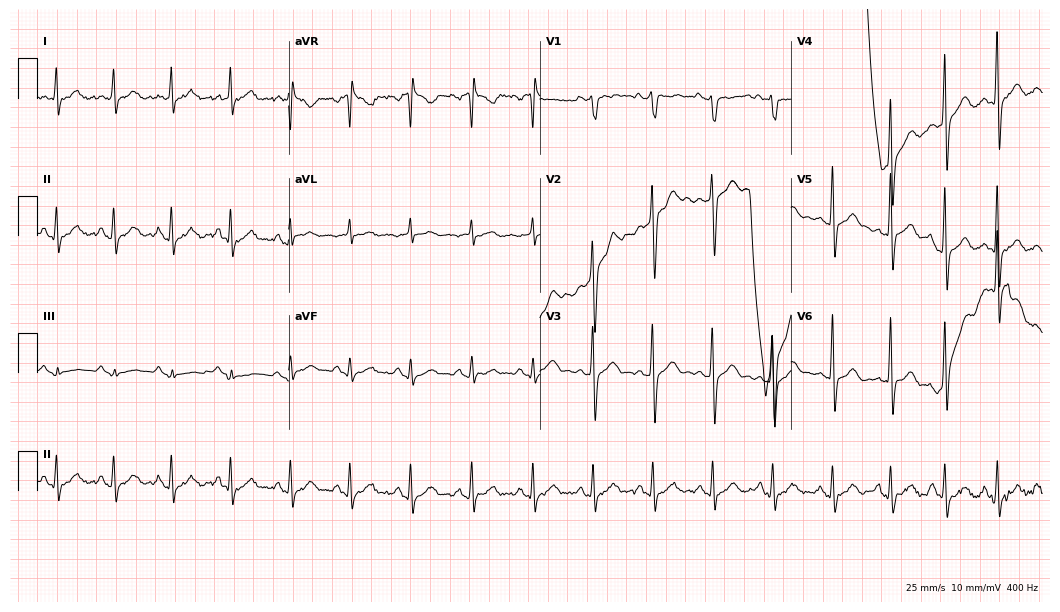
Electrocardiogram (10.2-second recording at 400 Hz), a man, 26 years old. Overall reading on record: normal ECG.